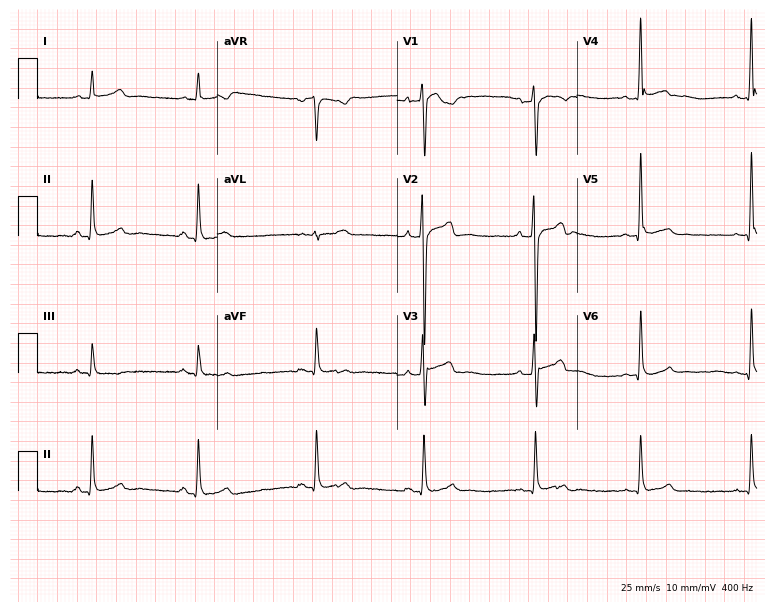
Standard 12-lead ECG recorded from a 26-year-old male (7.3-second recording at 400 Hz). None of these six findings is recorded: first-degree AV block, right bundle branch block (RBBB), left bundle branch block (LBBB), sinus bradycardia, atrial fibrillation (AF), sinus tachycardia.